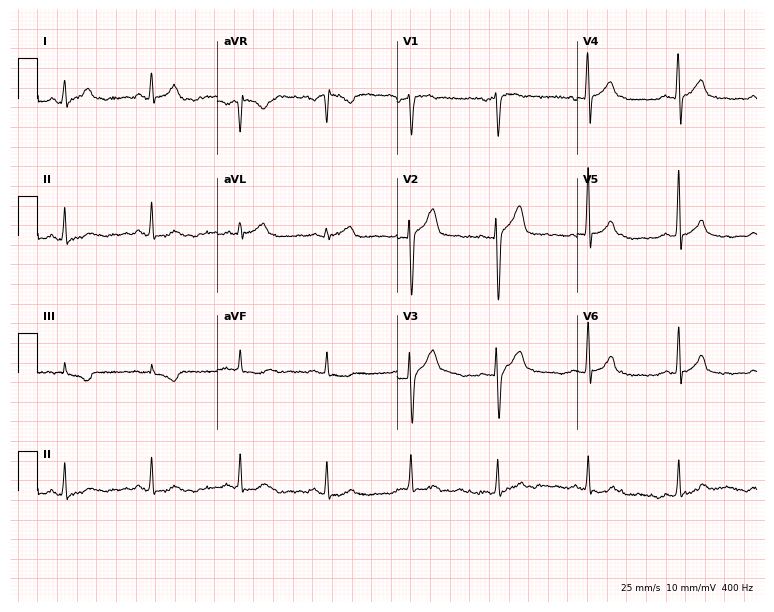
12-lead ECG from a male patient, 36 years old. Labelled as a normal ECG.